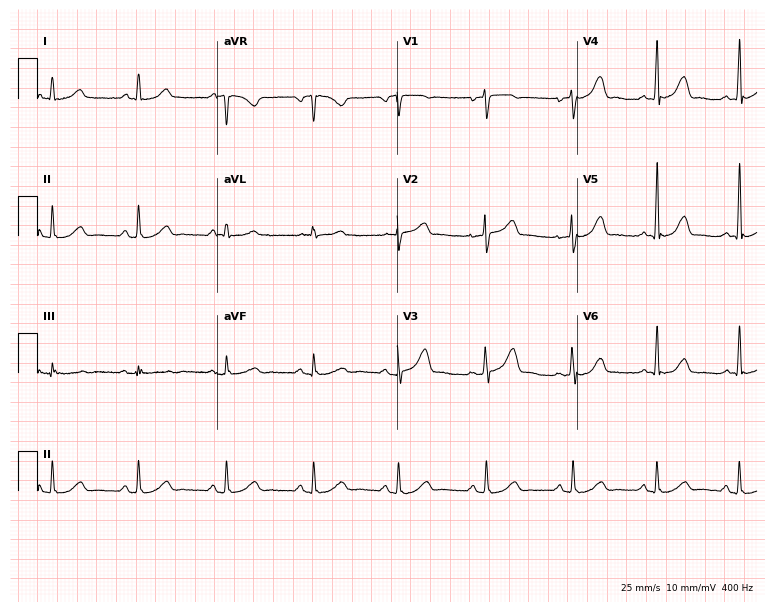
ECG (7.3-second recording at 400 Hz) — a 49-year-old male patient. Labelled as a normal ECG.